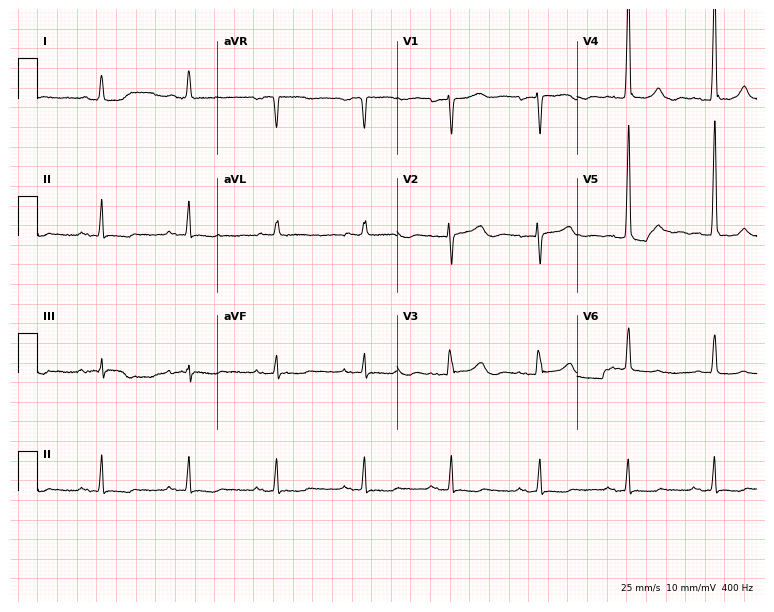
Electrocardiogram (7.3-second recording at 400 Hz), an 83-year-old female patient. Of the six screened findings (first-degree AV block, right bundle branch block, left bundle branch block, sinus bradycardia, atrial fibrillation, sinus tachycardia), none is recorded.